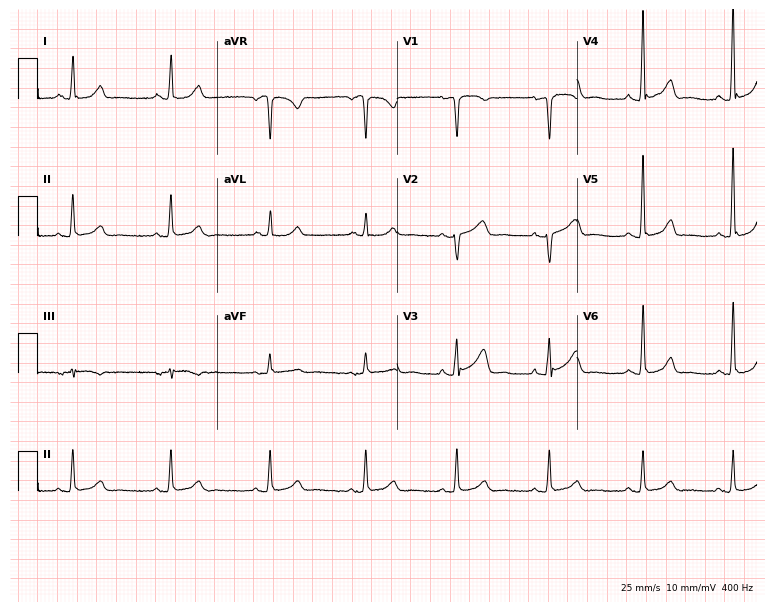
12-lead ECG from a female patient, 52 years old (7.3-second recording at 400 Hz). No first-degree AV block, right bundle branch block (RBBB), left bundle branch block (LBBB), sinus bradycardia, atrial fibrillation (AF) or sinus tachycardia recorded for this tracing.